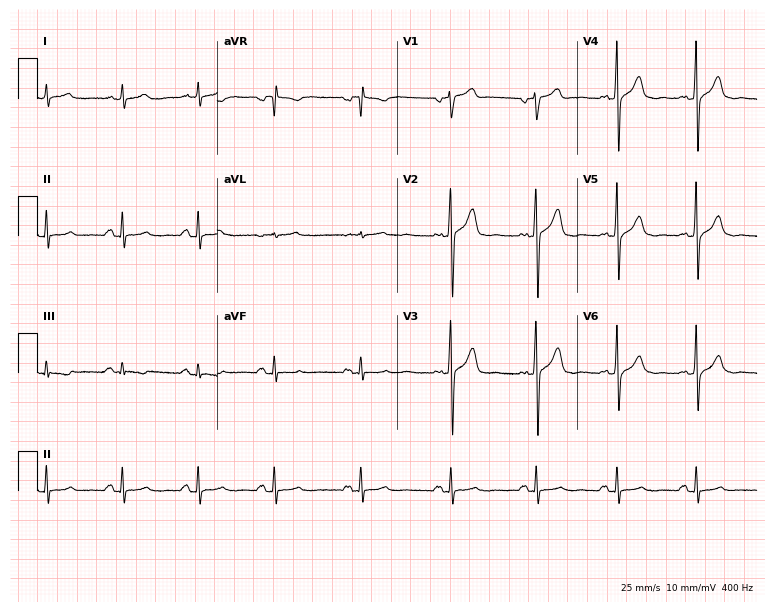
12-lead ECG from a male patient, 48 years old (7.3-second recording at 400 Hz). No first-degree AV block, right bundle branch block, left bundle branch block, sinus bradycardia, atrial fibrillation or sinus tachycardia recorded for this tracing. Only these six findings were labelled.